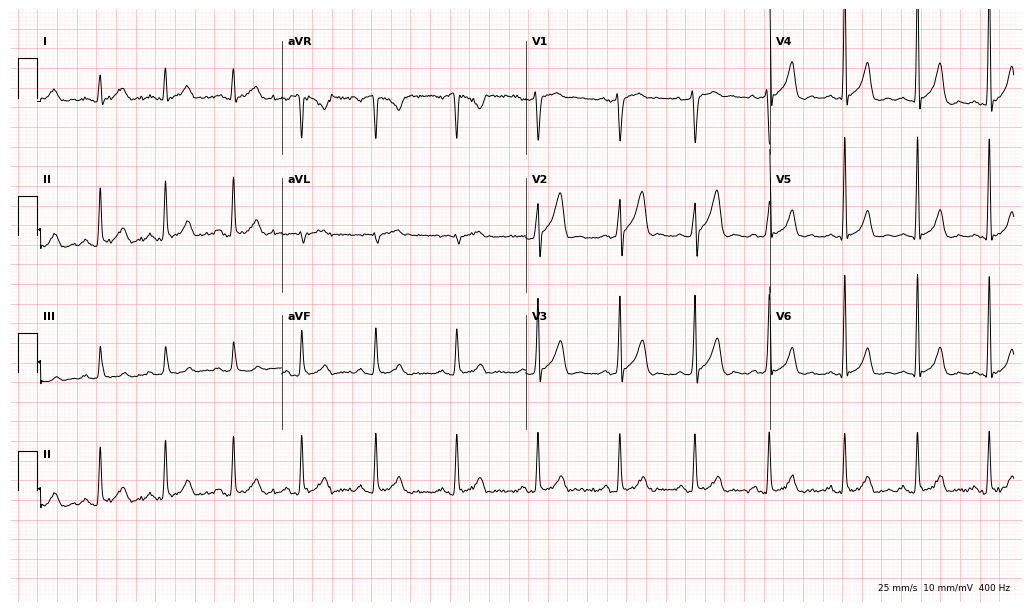
Electrocardiogram, a male, 32 years old. Overall reading on record: normal ECG.